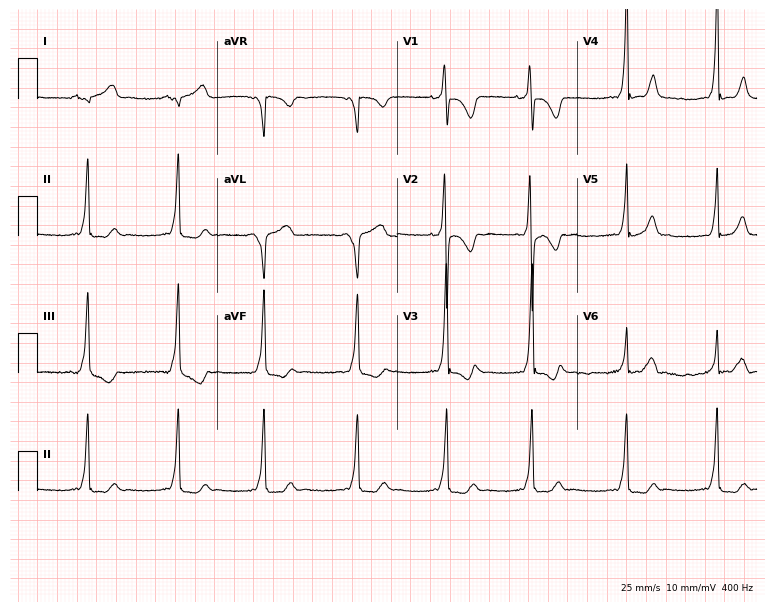
12-lead ECG from a woman, 22 years old. Screened for six findings — first-degree AV block, right bundle branch block, left bundle branch block, sinus bradycardia, atrial fibrillation, sinus tachycardia — none is recorded.